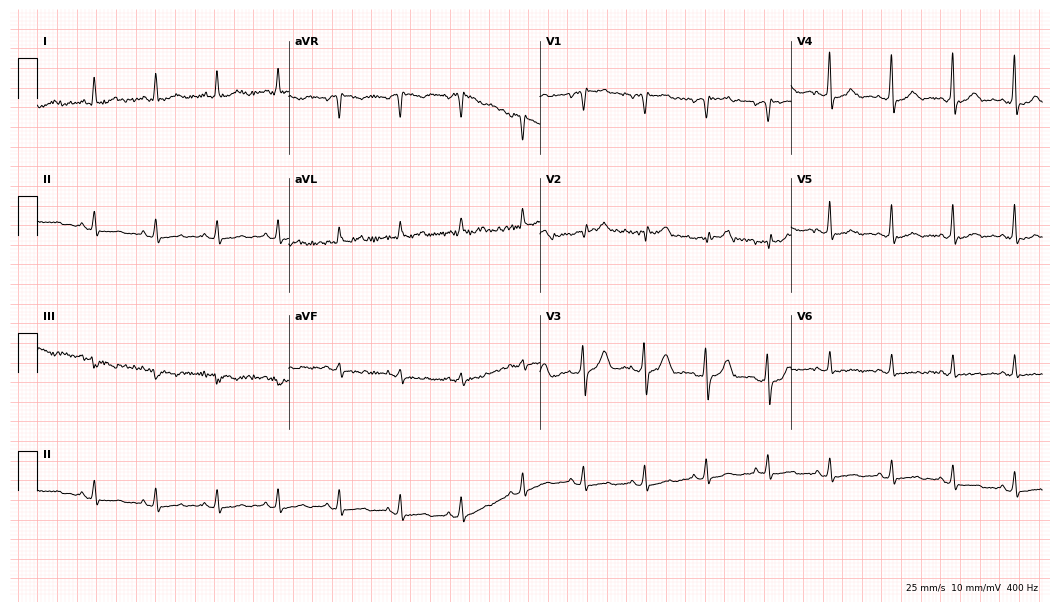
12-lead ECG from a 57-year-old female patient. No first-degree AV block, right bundle branch block, left bundle branch block, sinus bradycardia, atrial fibrillation or sinus tachycardia recorded for this tracing. Other findings, if any, are not listed.